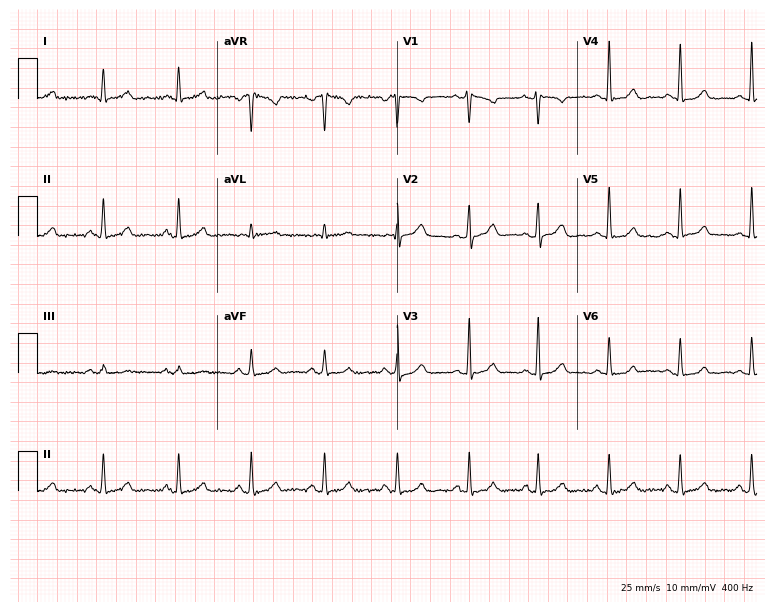
Standard 12-lead ECG recorded from a 48-year-old woman. Read as a normal ECG.